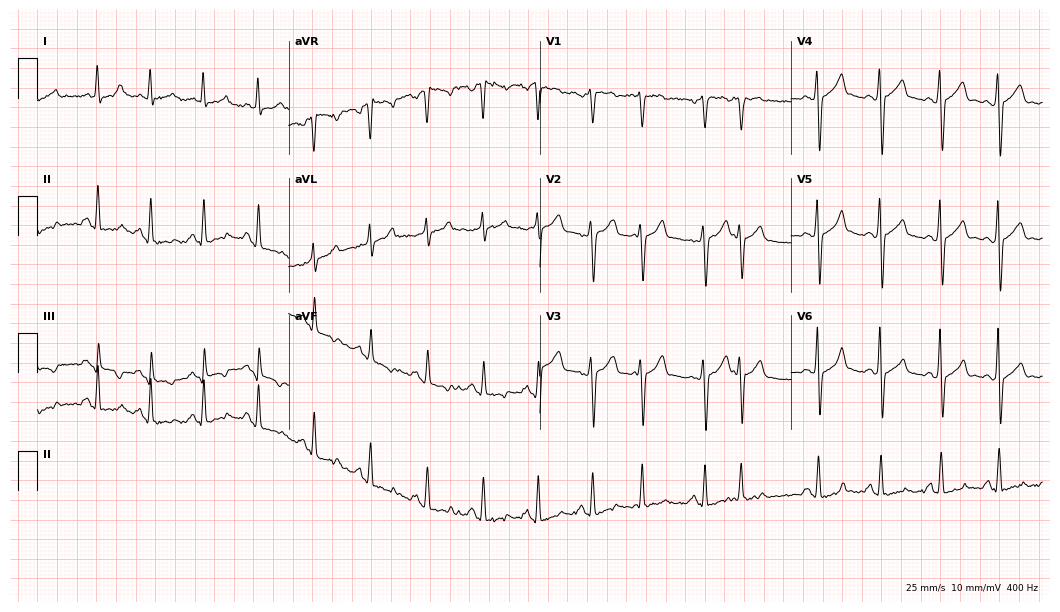
ECG (10.2-second recording at 400 Hz) — a 46-year-old male. Findings include sinus tachycardia (a sinus rate of 100 beats per minute or more).